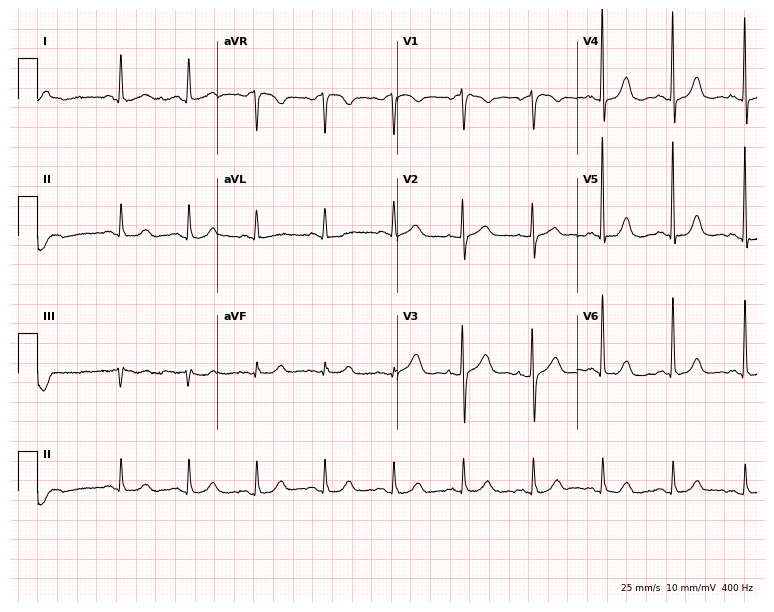
Resting 12-lead electrocardiogram (7.3-second recording at 400 Hz). Patient: a female, 76 years old. Read as a normal ECG.